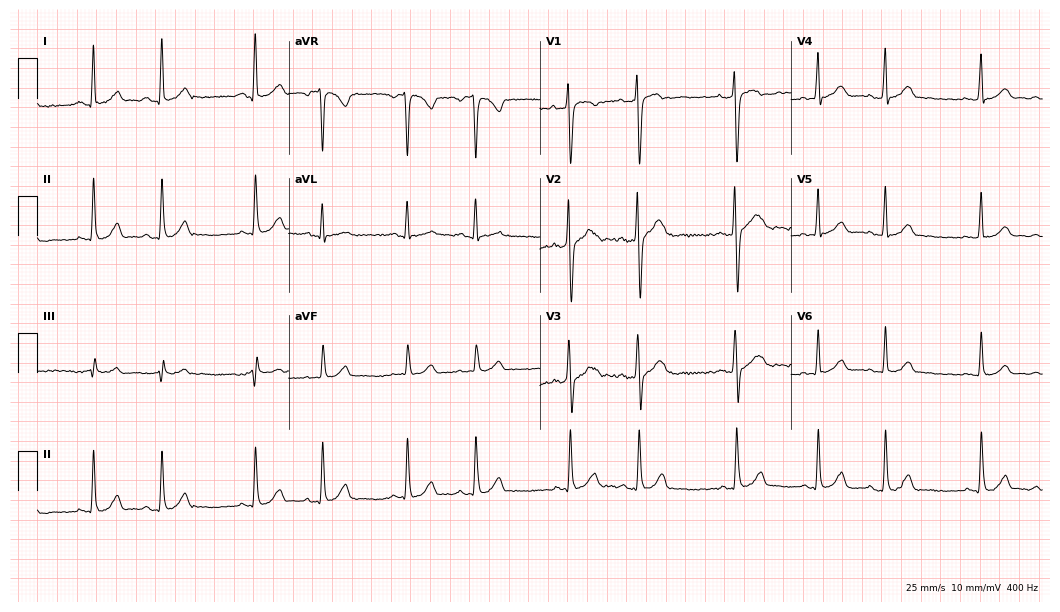
Standard 12-lead ECG recorded from a female patient, 18 years old. None of these six findings is recorded: first-degree AV block, right bundle branch block, left bundle branch block, sinus bradycardia, atrial fibrillation, sinus tachycardia. Only these six findings were labelled.